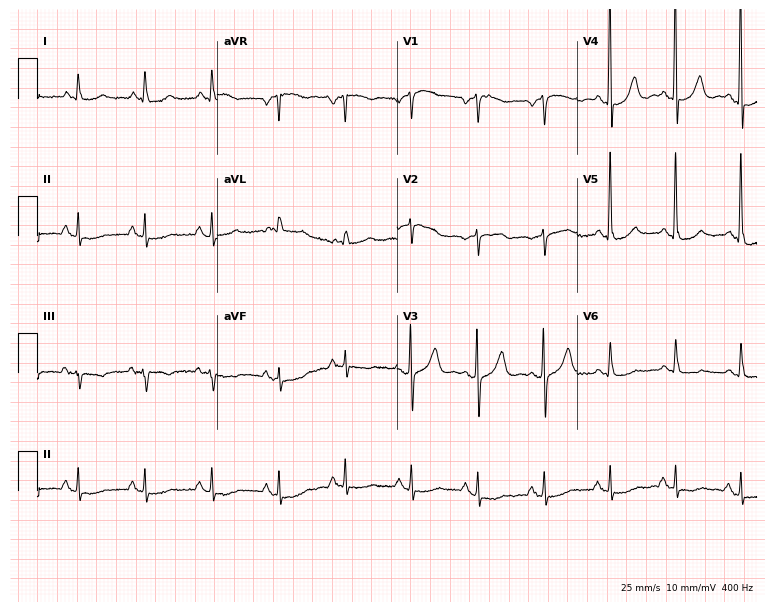
Standard 12-lead ECG recorded from a male patient, 73 years old (7.3-second recording at 400 Hz). None of these six findings is recorded: first-degree AV block, right bundle branch block, left bundle branch block, sinus bradycardia, atrial fibrillation, sinus tachycardia.